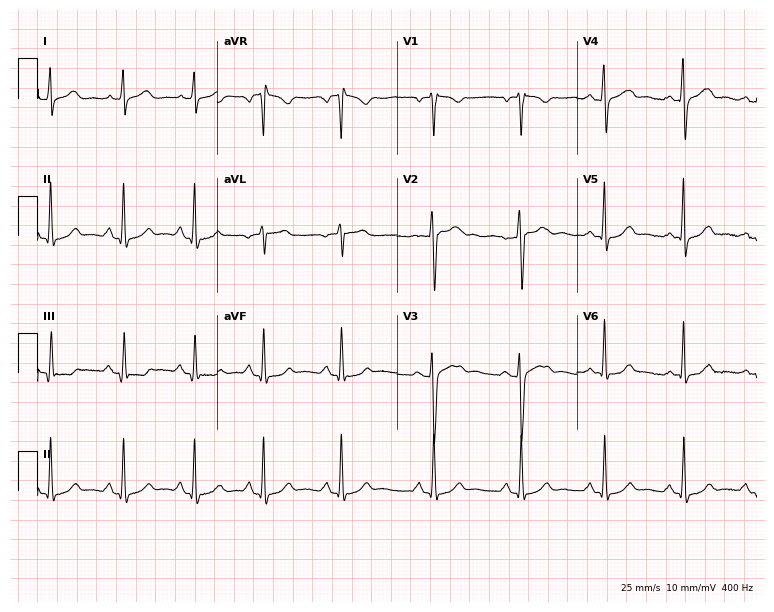
Resting 12-lead electrocardiogram (7.3-second recording at 400 Hz). Patient: a female, 29 years old. Read as a normal ECG.